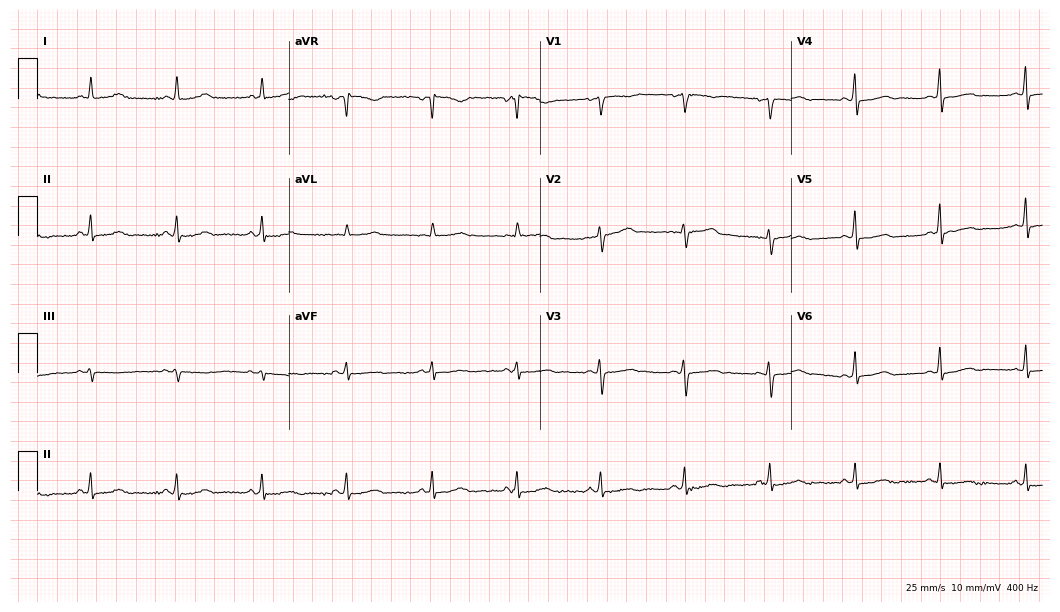
Electrocardiogram, a 46-year-old woman. Overall reading on record: normal ECG.